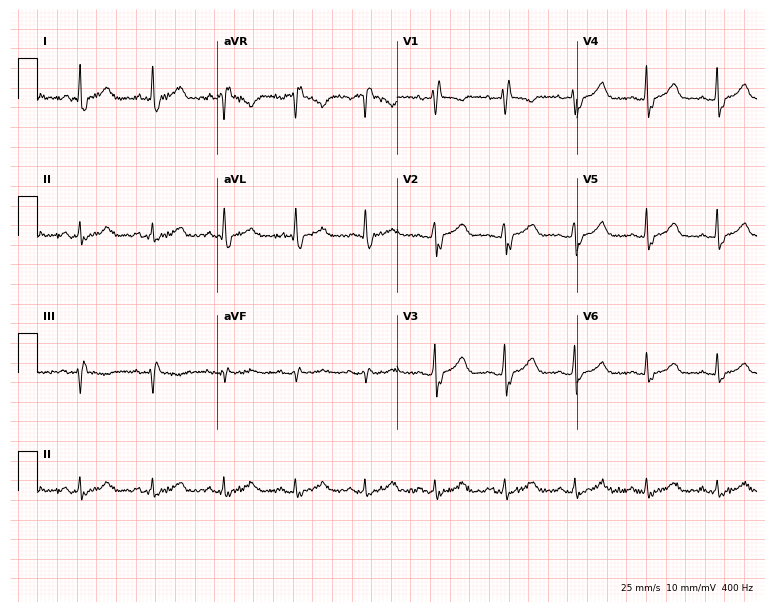
Standard 12-lead ECG recorded from a female, 54 years old (7.3-second recording at 400 Hz). The tracing shows right bundle branch block.